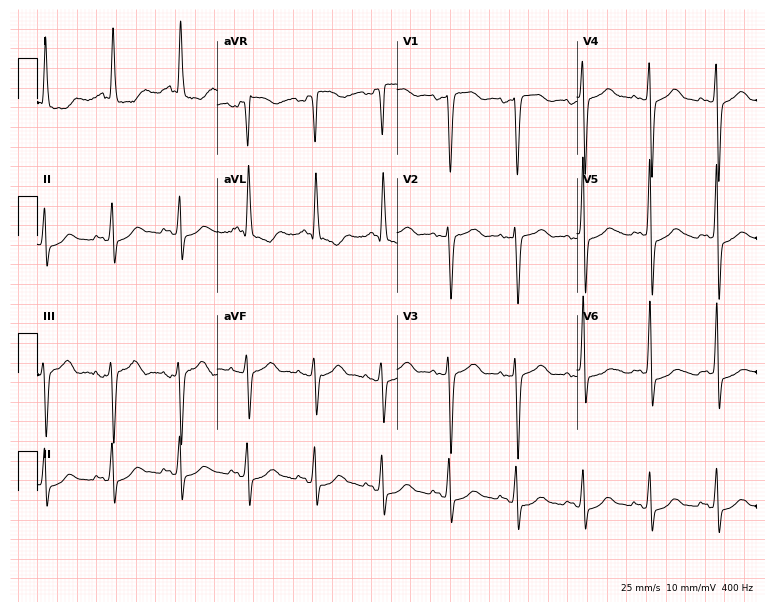
12-lead ECG from an 83-year-old female patient. No first-degree AV block, right bundle branch block, left bundle branch block, sinus bradycardia, atrial fibrillation or sinus tachycardia recorded for this tracing. Only these six findings were labelled.